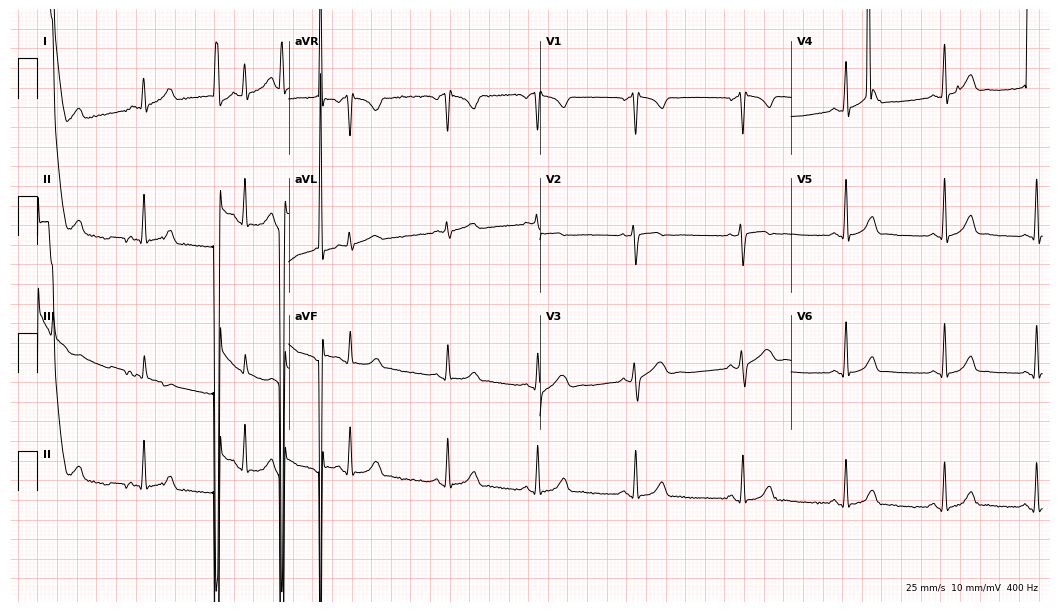
12-lead ECG from a 21-year-old female. Labelled as a normal ECG.